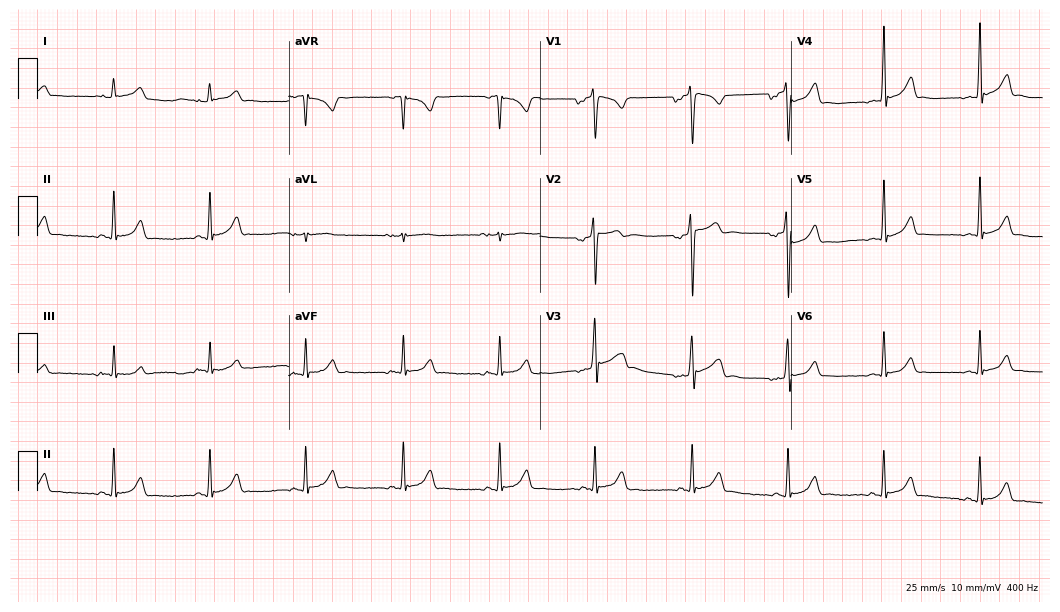
Standard 12-lead ECG recorded from a male patient, 17 years old. Read as a normal ECG.